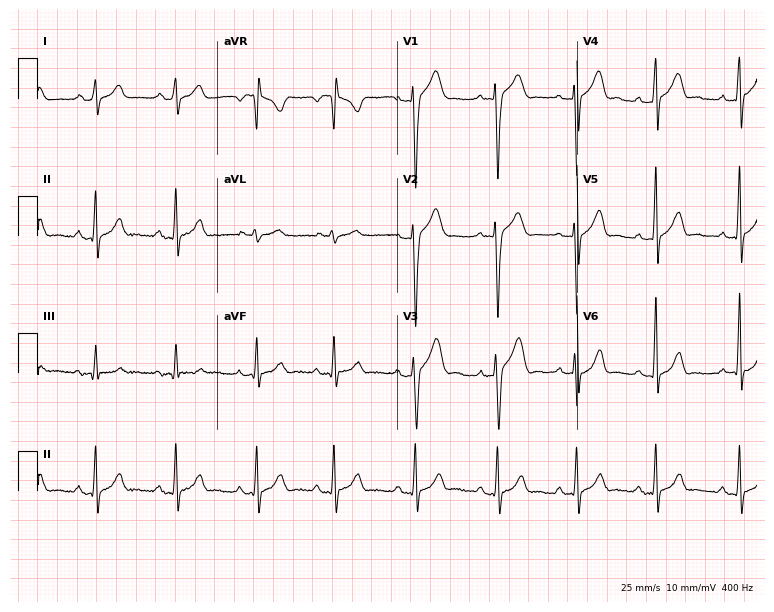
Resting 12-lead electrocardiogram. Patient: an 18-year-old male. None of these six findings is recorded: first-degree AV block, right bundle branch block, left bundle branch block, sinus bradycardia, atrial fibrillation, sinus tachycardia. Only these six findings were labelled.